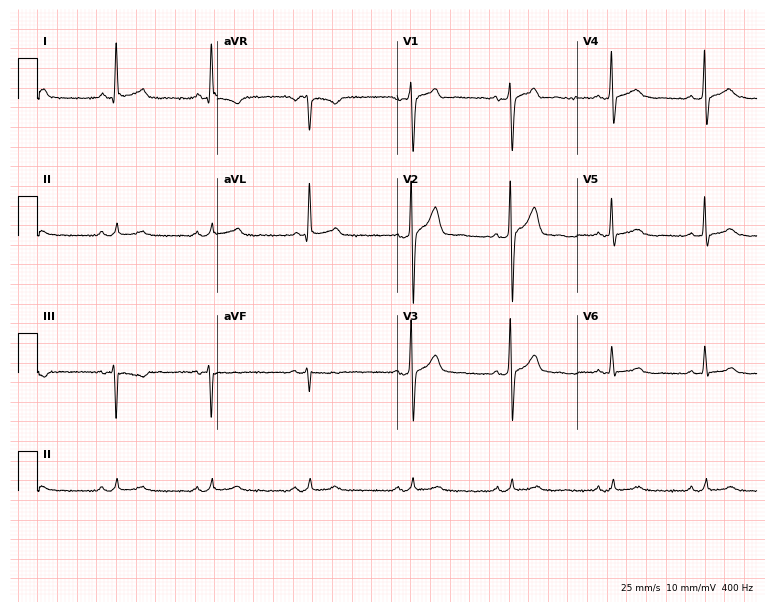
Standard 12-lead ECG recorded from a male, 32 years old (7.3-second recording at 400 Hz). Read as a normal ECG.